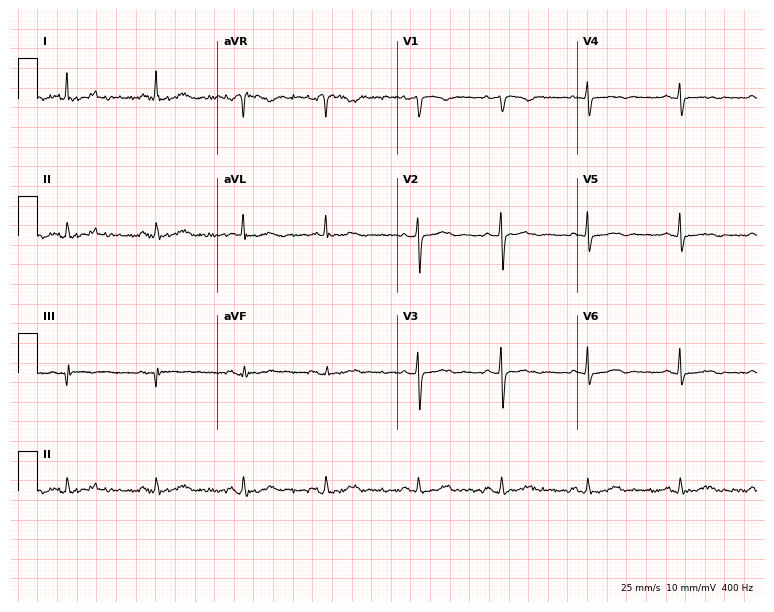
ECG (7.3-second recording at 400 Hz) — a 37-year-old female. Screened for six findings — first-degree AV block, right bundle branch block, left bundle branch block, sinus bradycardia, atrial fibrillation, sinus tachycardia — none is recorded.